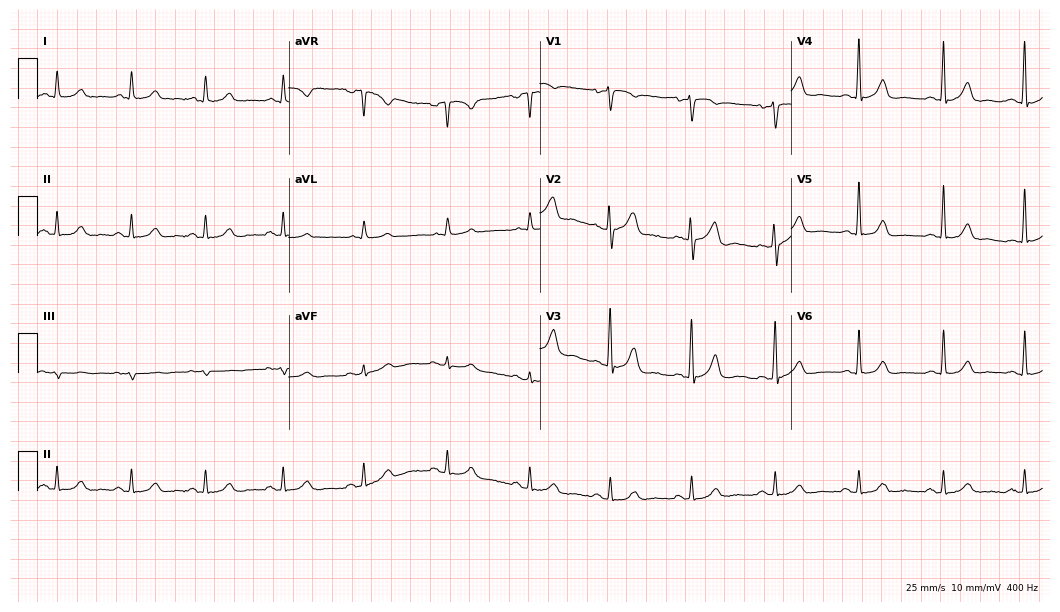
Electrocardiogram (10.2-second recording at 400 Hz), a 63-year-old woman. Overall reading on record: normal ECG.